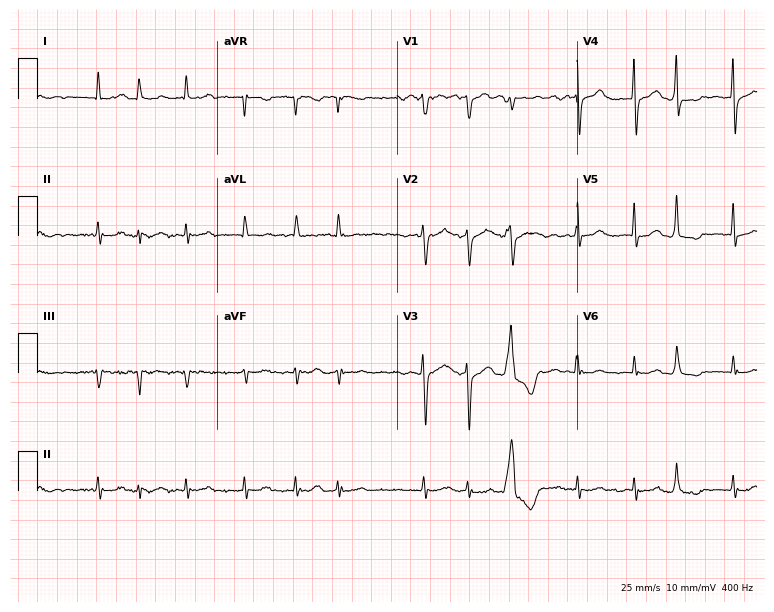
12-lead ECG from a 71-year-old female. Findings include atrial fibrillation.